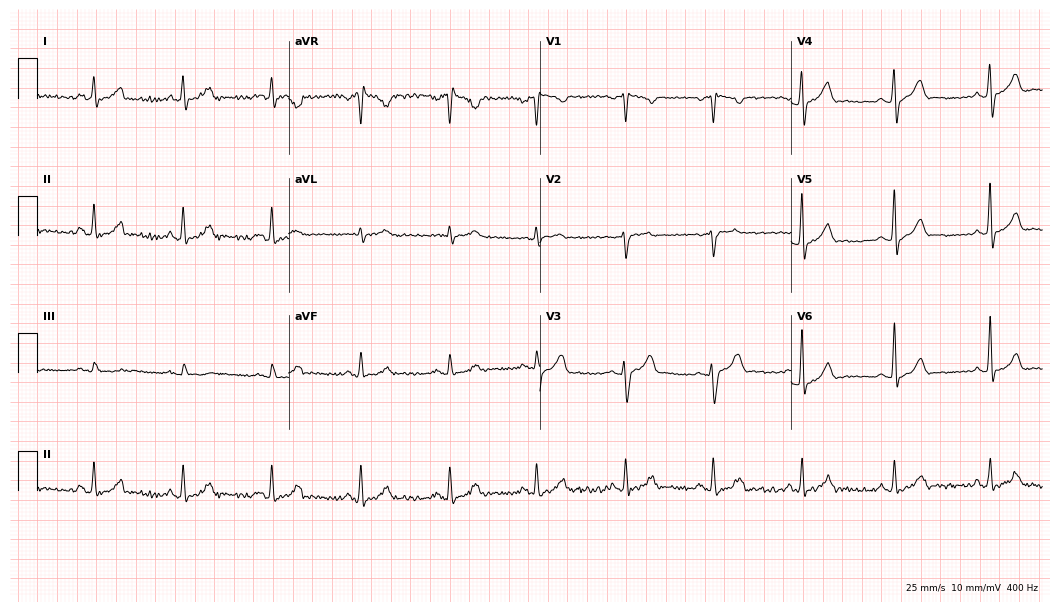
ECG — a 35-year-old male. Screened for six findings — first-degree AV block, right bundle branch block, left bundle branch block, sinus bradycardia, atrial fibrillation, sinus tachycardia — none is recorded. Only these six findings were labelled.